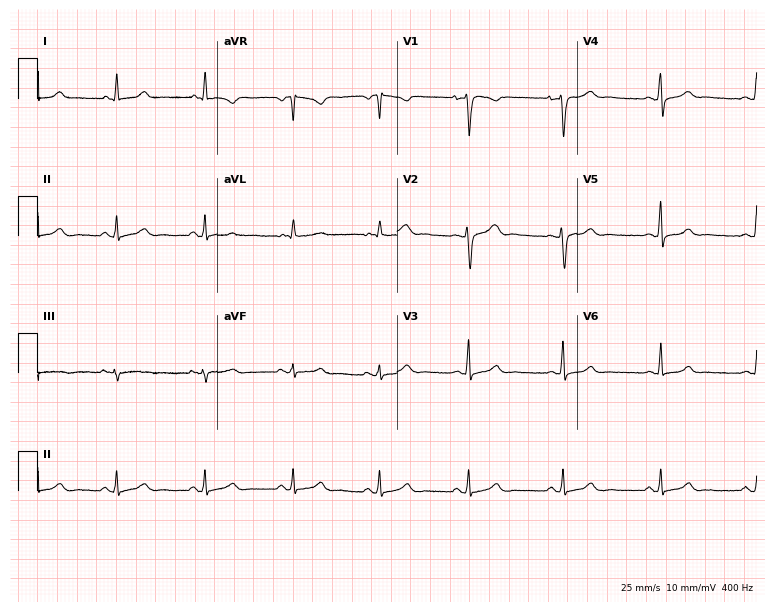
Standard 12-lead ECG recorded from a 32-year-old female. Read as a normal ECG.